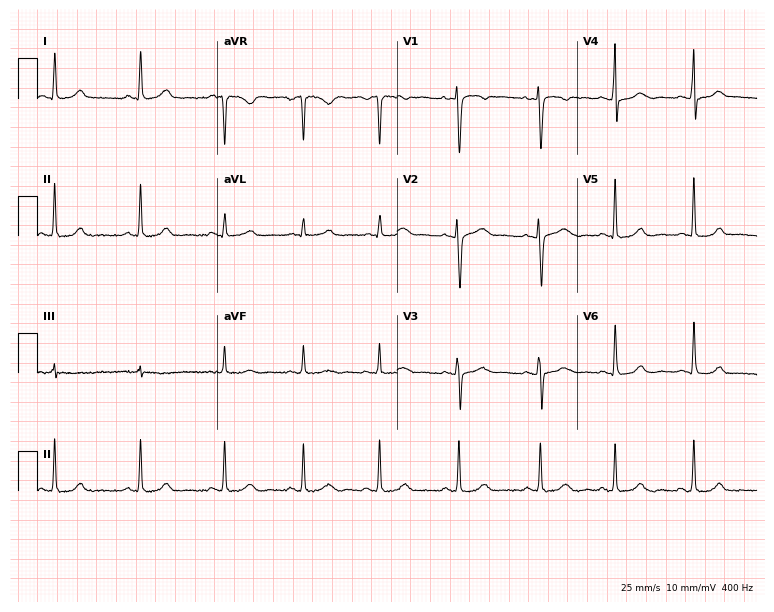
12-lead ECG (7.3-second recording at 400 Hz) from a 33-year-old female. Labelled as a normal ECG.